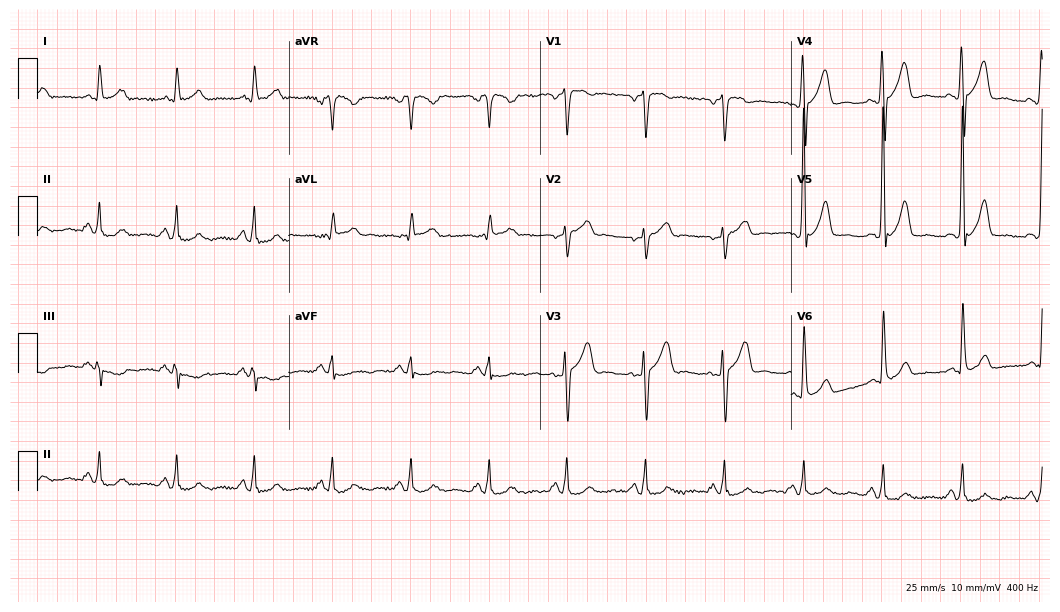
ECG — a 55-year-old male patient. Labelled as a normal ECG.